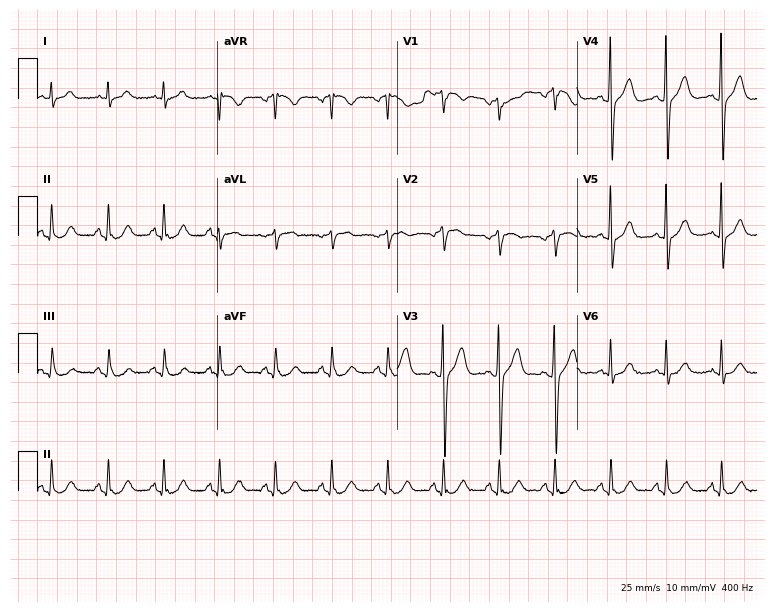
Electrocardiogram (7.3-second recording at 400 Hz), a 56-year-old male. Overall reading on record: normal ECG.